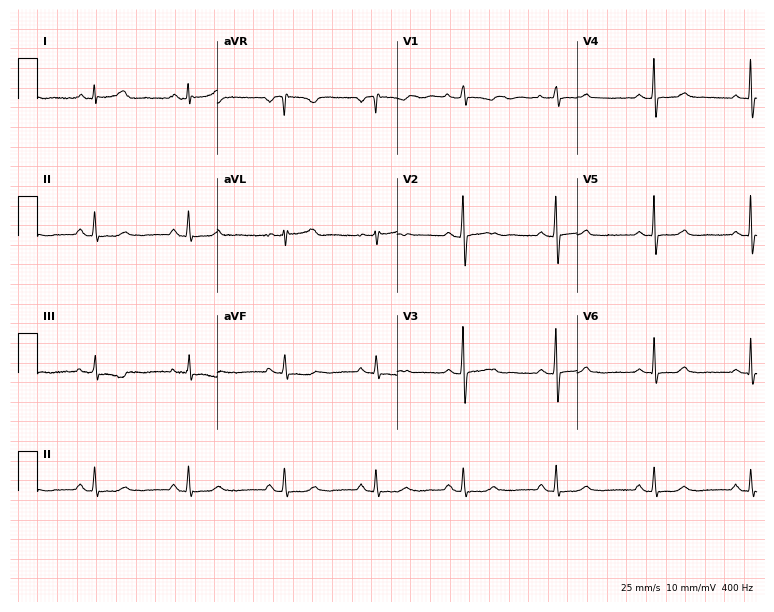
Electrocardiogram (7.3-second recording at 400 Hz), a 21-year-old female patient. Of the six screened findings (first-degree AV block, right bundle branch block, left bundle branch block, sinus bradycardia, atrial fibrillation, sinus tachycardia), none is recorded. Other findings, if any, are not listed.